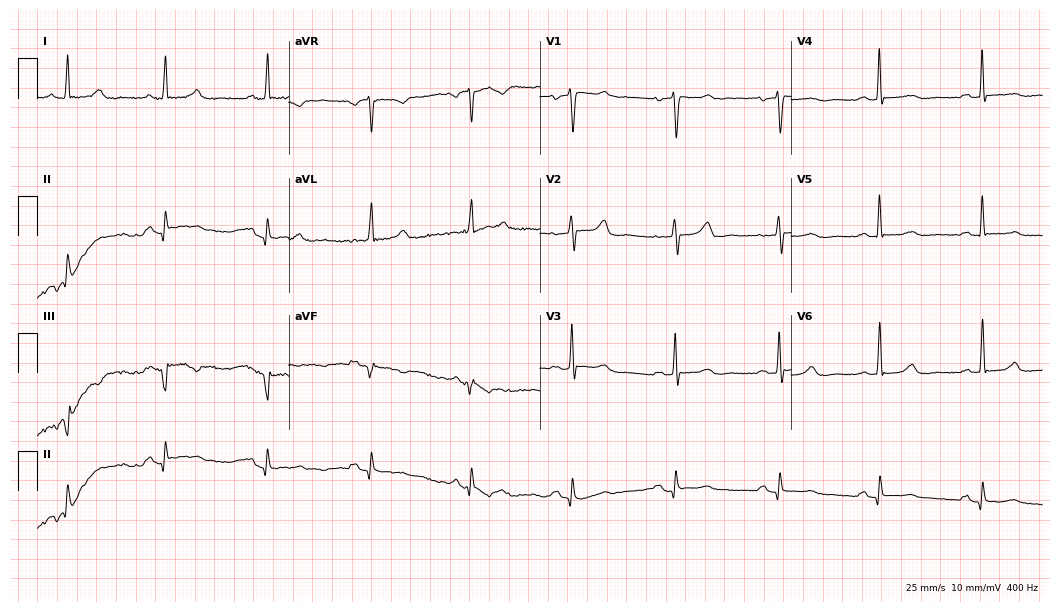
Standard 12-lead ECG recorded from a 74-year-old woman (10.2-second recording at 400 Hz). None of these six findings is recorded: first-degree AV block, right bundle branch block, left bundle branch block, sinus bradycardia, atrial fibrillation, sinus tachycardia. Only these six findings were labelled.